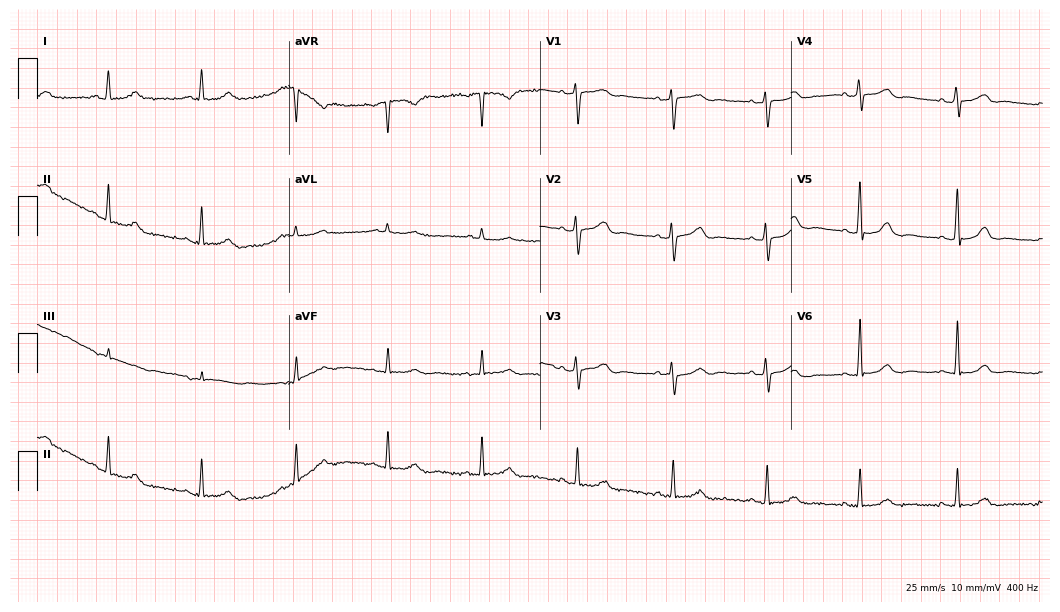
ECG — a woman, 56 years old. Labelled as a normal ECG.